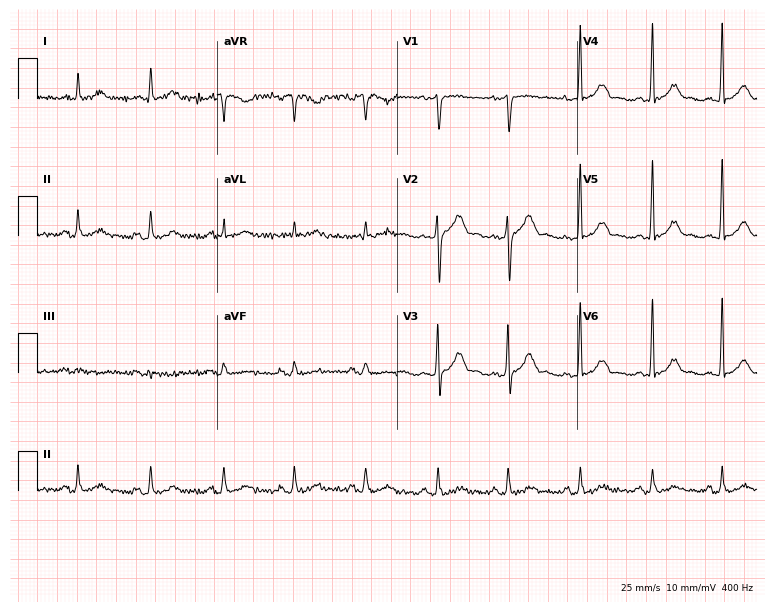
Electrocardiogram (7.3-second recording at 400 Hz), a 40-year-old man. Overall reading on record: normal ECG.